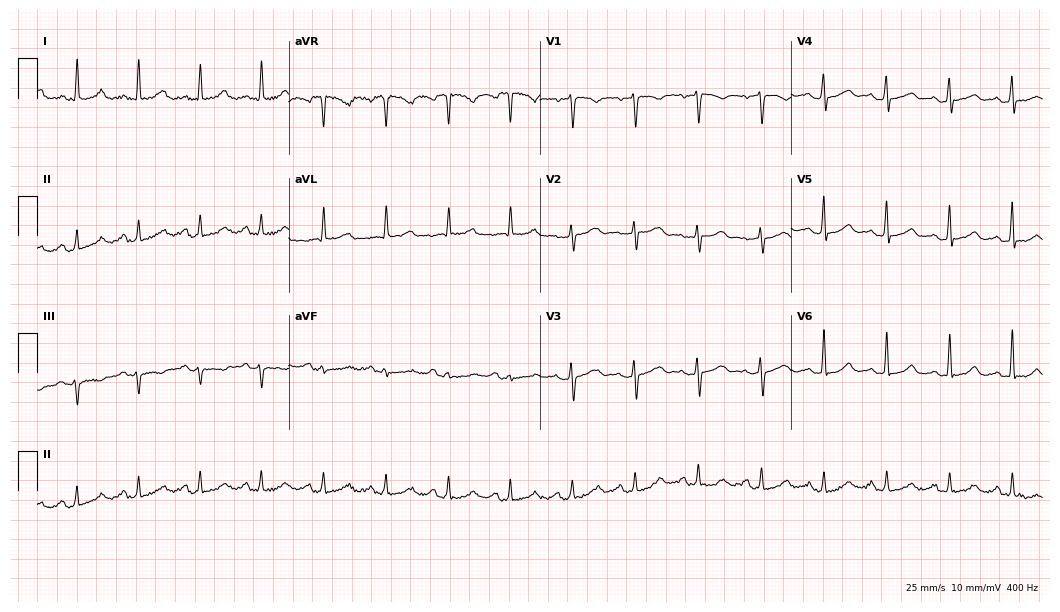
ECG (10.2-second recording at 400 Hz) — a 64-year-old female. Labelled as a normal ECG.